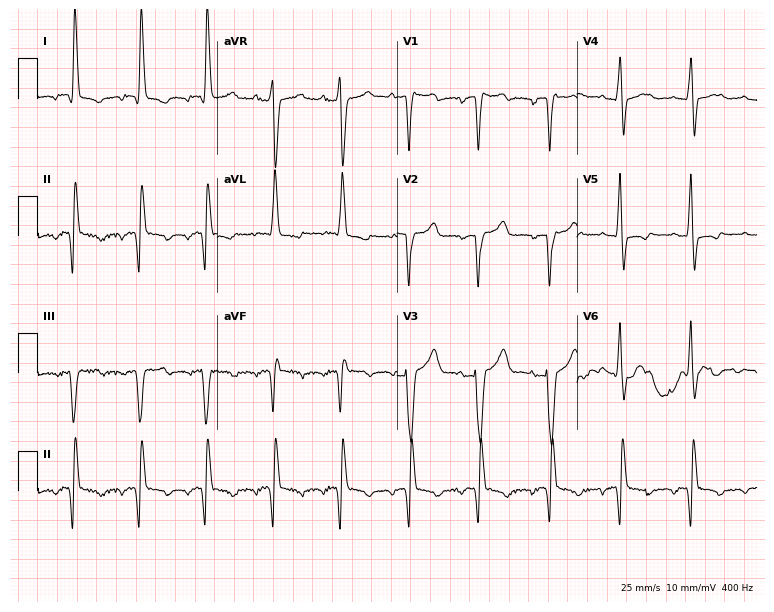
12-lead ECG from a woman, 81 years old. Screened for six findings — first-degree AV block, right bundle branch block, left bundle branch block, sinus bradycardia, atrial fibrillation, sinus tachycardia — none is recorded. Findings outside these six are not listed.